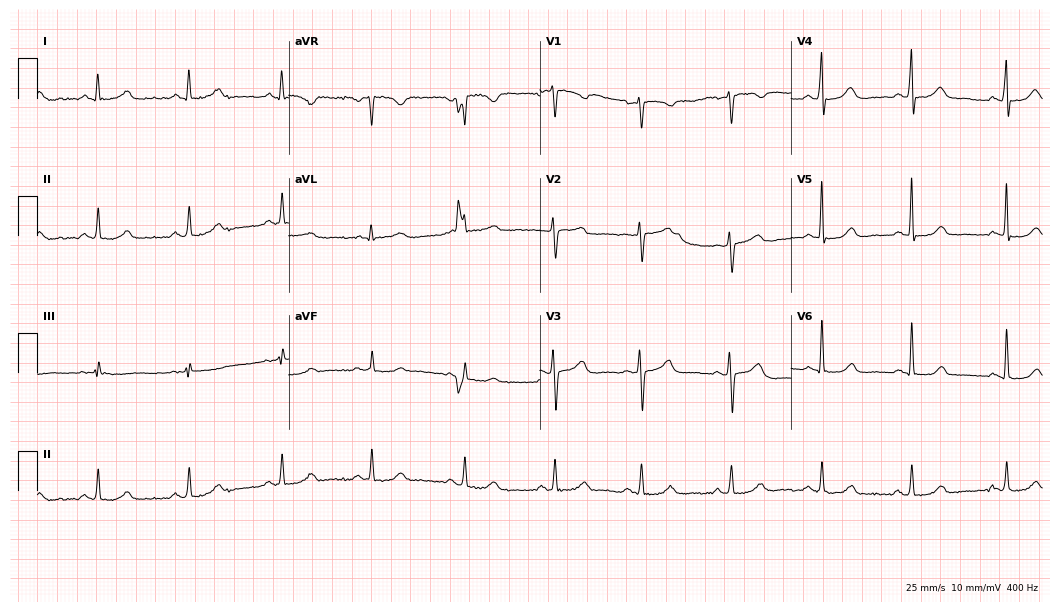
ECG — a 37-year-old female. Screened for six findings — first-degree AV block, right bundle branch block, left bundle branch block, sinus bradycardia, atrial fibrillation, sinus tachycardia — none is recorded.